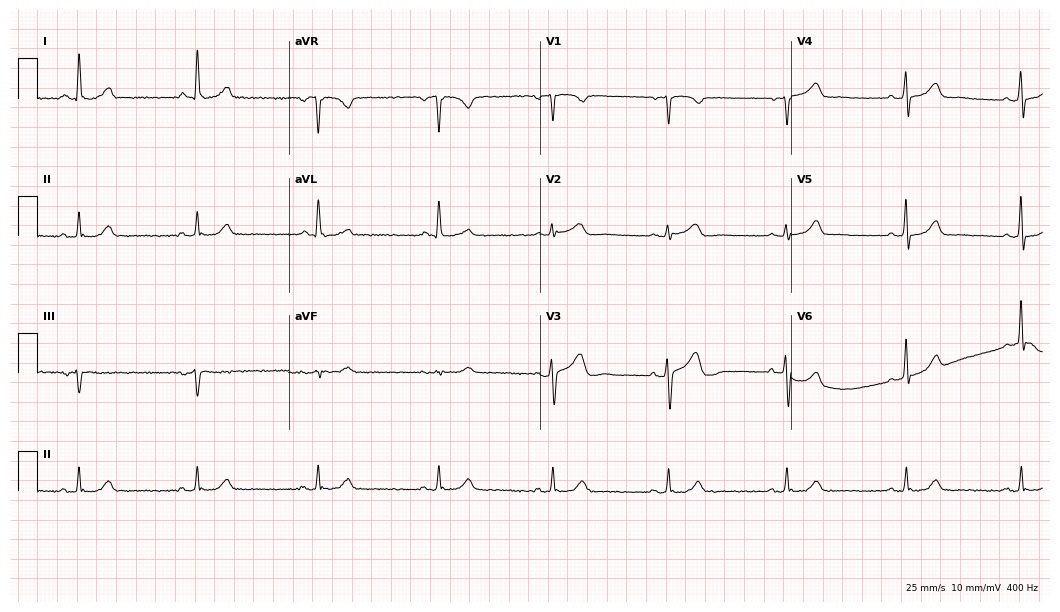
Electrocardiogram (10.2-second recording at 400 Hz), a female patient, 57 years old. Of the six screened findings (first-degree AV block, right bundle branch block, left bundle branch block, sinus bradycardia, atrial fibrillation, sinus tachycardia), none is recorded.